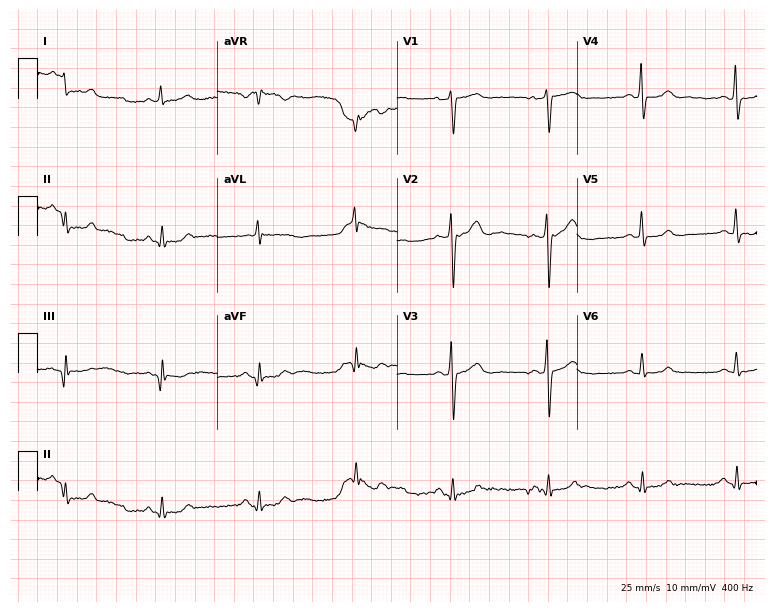
12-lead ECG from a 79-year-old male. Screened for six findings — first-degree AV block, right bundle branch block, left bundle branch block, sinus bradycardia, atrial fibrillation, sinus tachycardia — none is recorded.